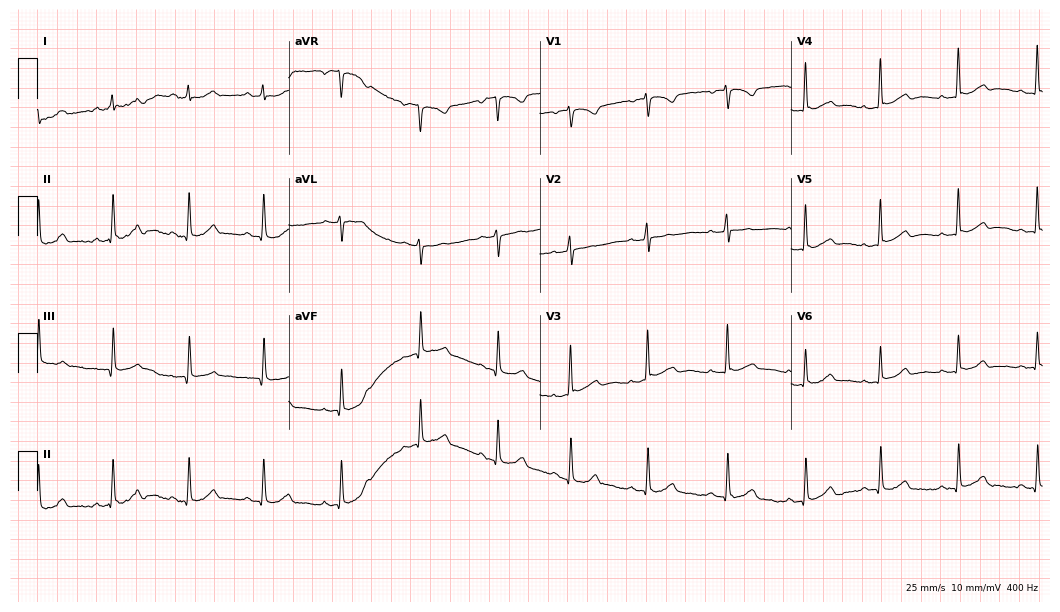
Standard 12-lead ECG recorded from a female, 19 years old. Read as a normal ECG.